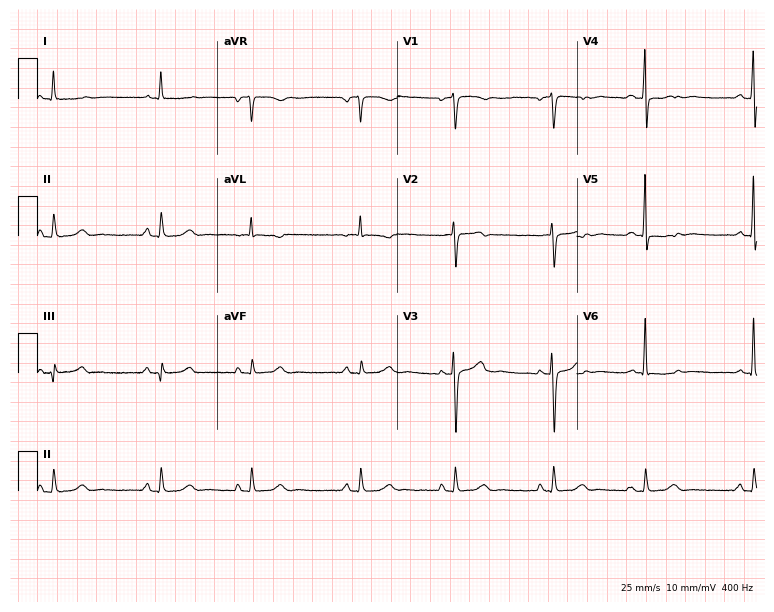
12-lead ECG from a male, 85 years old. Screened for six findings — first-degree AV block, right bundle branch block (RBBB), left bundle branch block (LBBB), sinus bradycardia, atrial fibrillation (AF), sinus tachycardia — none is recorded. Other findings, if any, are not listed.